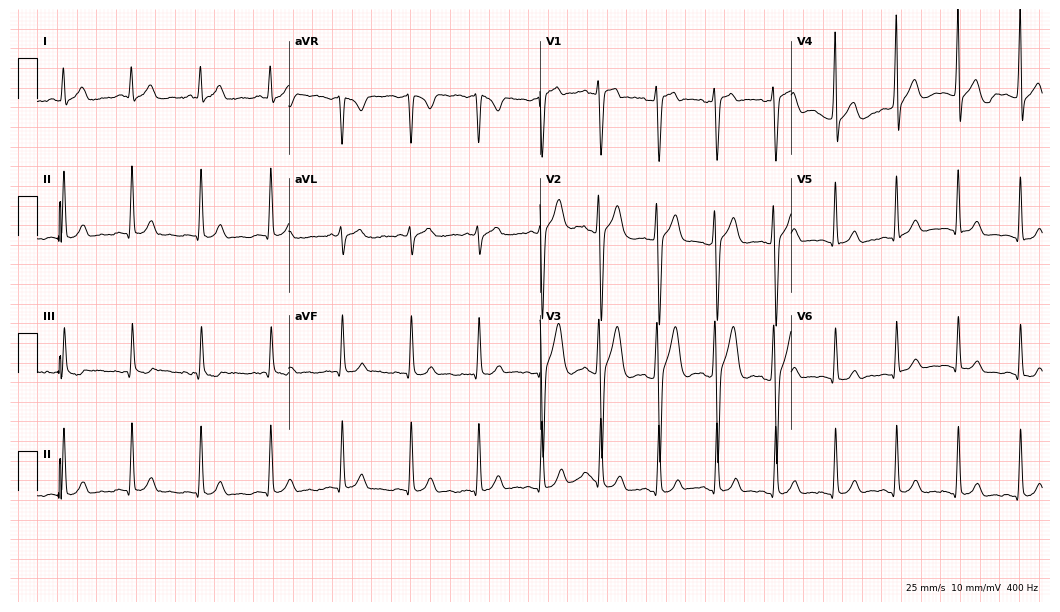
Resting 12-lead electrocardiogram (10.2-second recording at 400 Hz). Patient: a 42-year-old male. Read as a normal ECG.